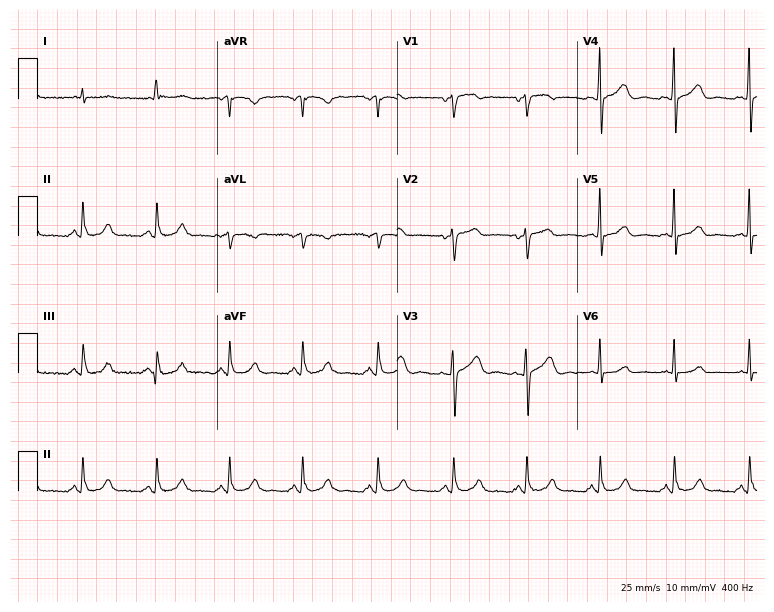
ECG (7.3-second recording at 400 Hz) — a male, 63 years old. Labelled as a normal ECG.